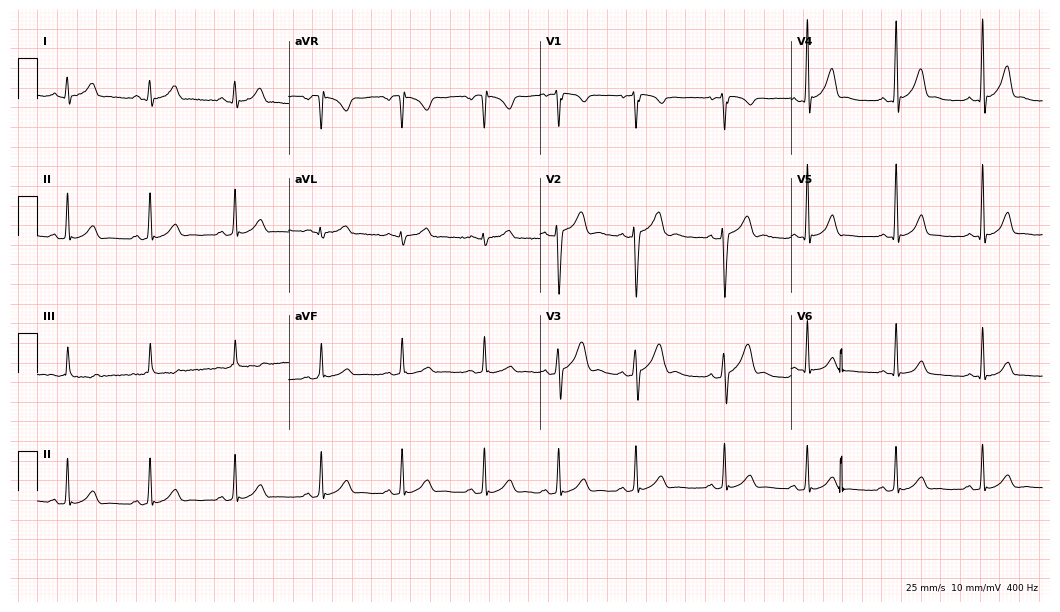
Electrocardiogram (10.2-second recording at 400 Hz), a male, 17 years old. Overall reading on record: normal ECG.